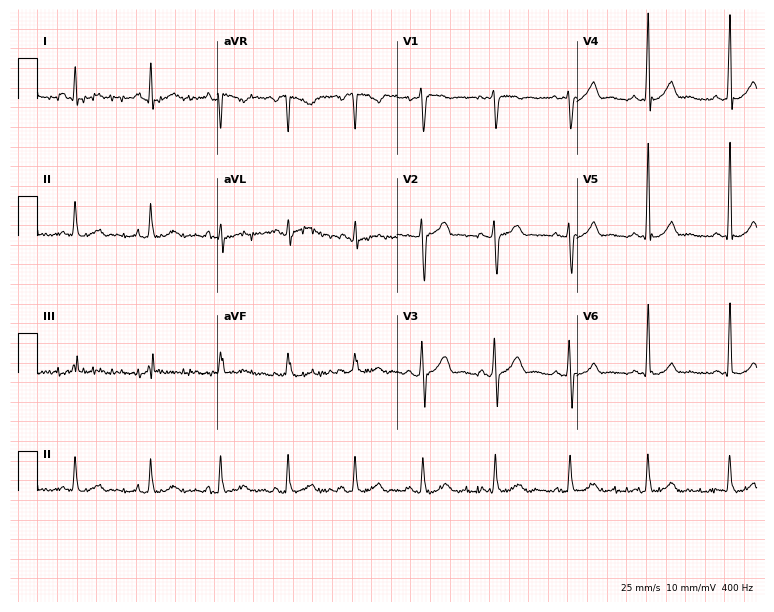
ECG — a man, 36 years old. Labelled as a normal ECG.